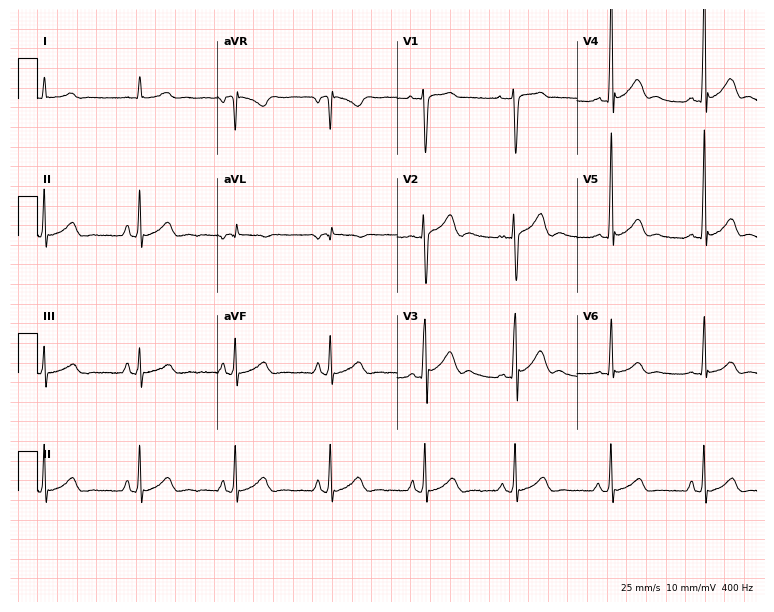
Resting 12-lead electrocardiogram. Patient: an 18-year-old male. Read as a normal ECG.